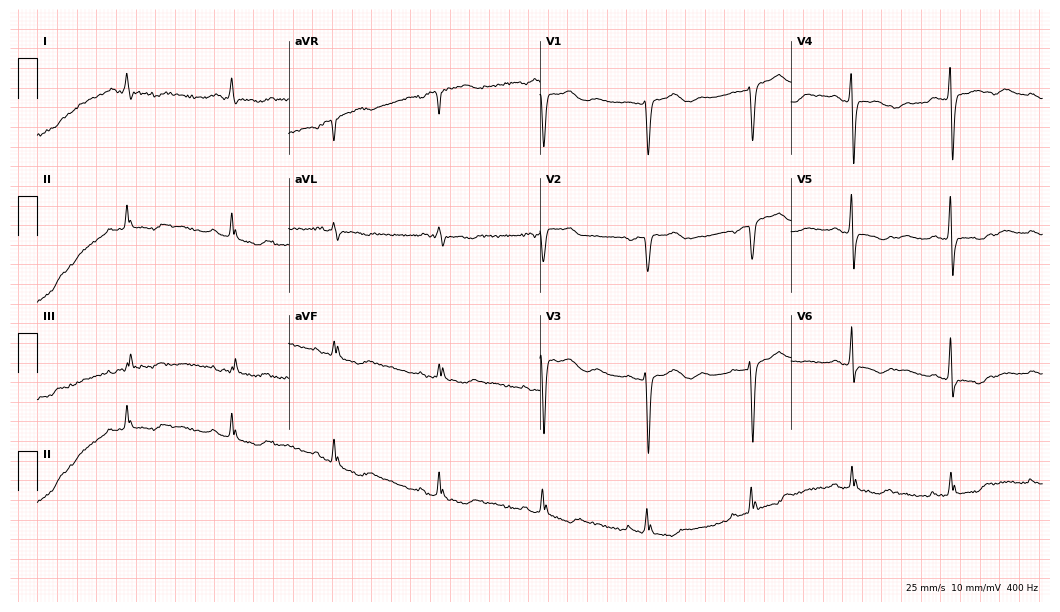
ECG (10.2-second recording at 400 Hz) — a woman, 77 years old. Screened for six findings — first-degree AV block, right bundle branch block, left bundle branch block, sinus bradycardia, atrial fibrillation, sinus tachycardia — none is recorded.